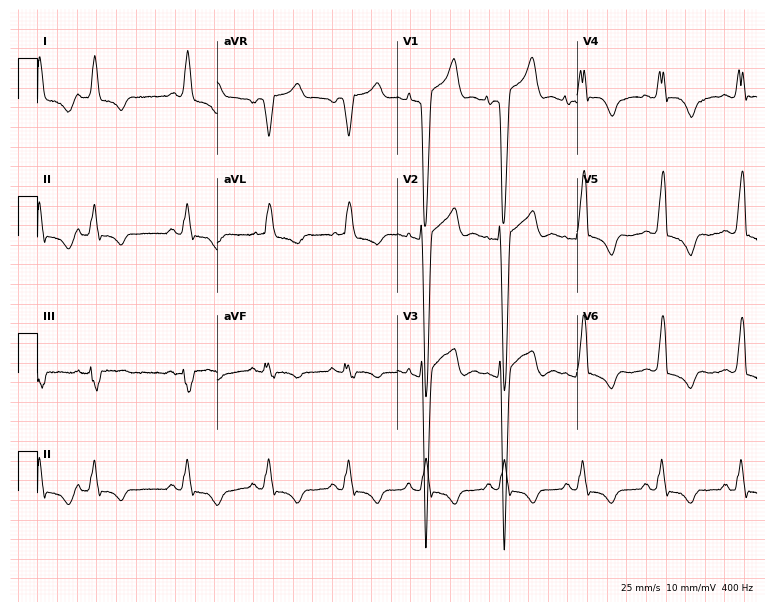
Resting 12-lead electrocardiogram. Patient: a man, 85 years old. The tracing shows left bundle branch block.